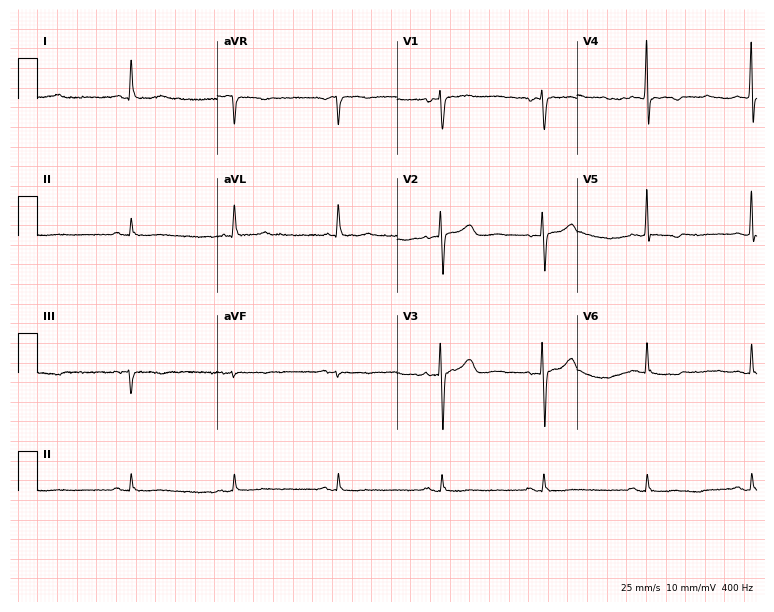
Resting 12-lead electrocardiogram. Patient: a woman, 68 years old. None of these six findings is recorded: first-degree AV block, right bundle branch block, left bundle branch block, sinus bradycardia, atrial fibrillation, sinus tachycardia.